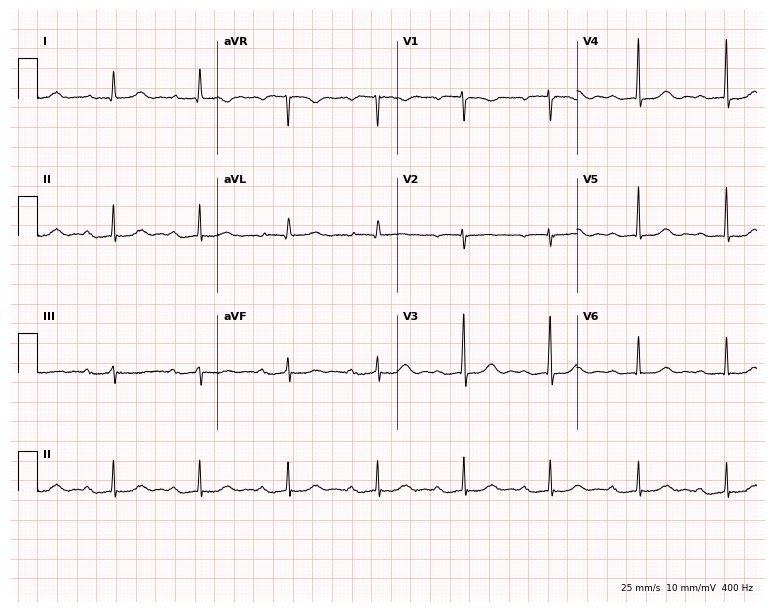
Standard 12-lead ECG recorded from a 77-year-old female patient. The tracing shows first-degree AV block.